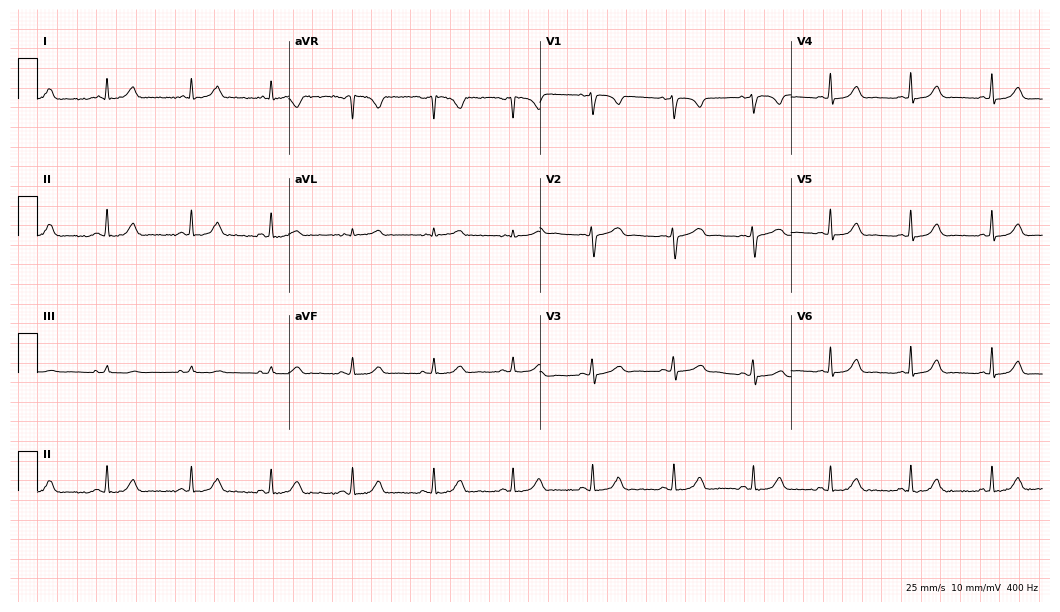
12-lead ECG from a 22-year-old woman (10.2-second recording at 400 Hz). Recorded interpretation: within normal limits.